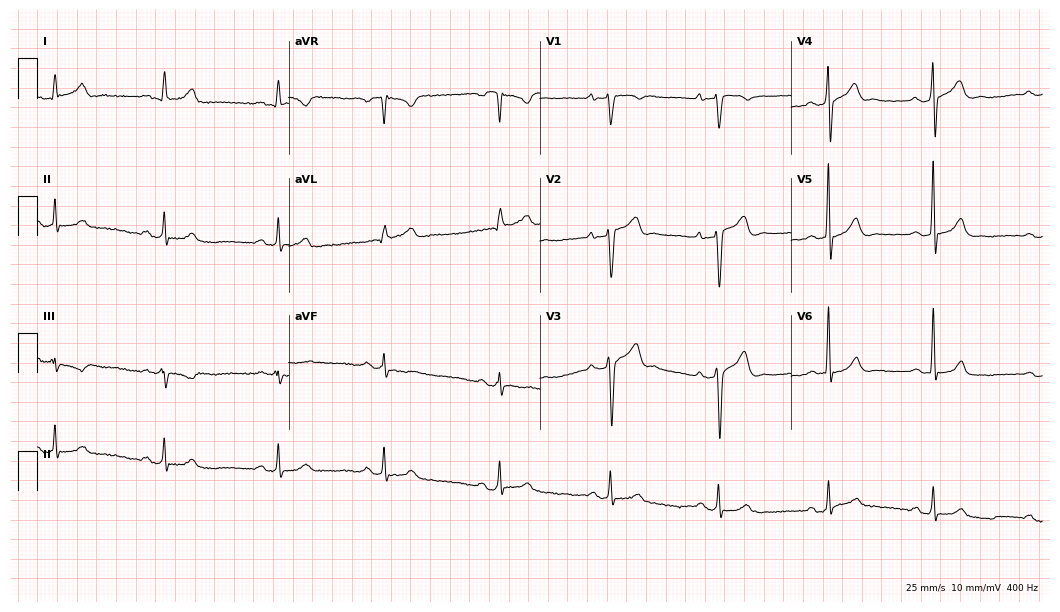
Electrocardiogram (10.2-second recording at 400 Hz), a 28-year-old male patient. Of the six screened findings (first-degree AV block, right bundle branch block, left bundle branch block, sinus bradycardia, atrial fibrillation, sinus tachycardia), none is recorded. Other findings, if any, are not listed.